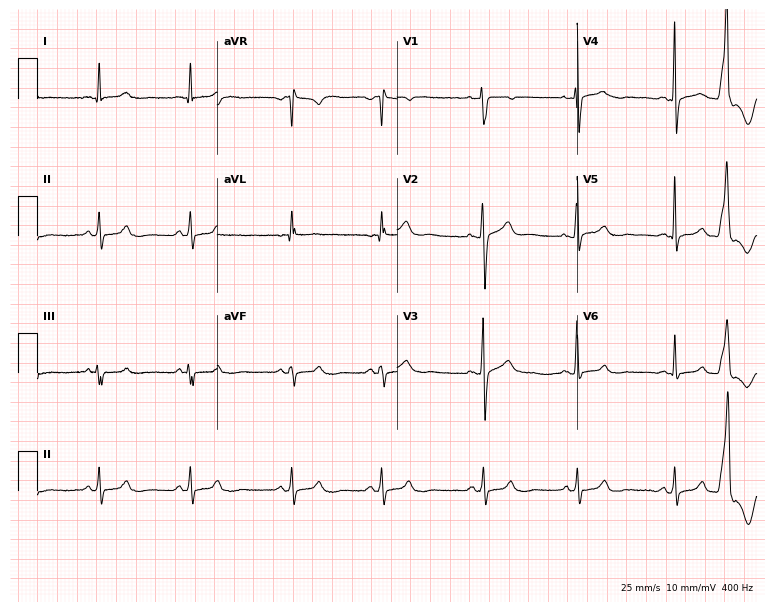
12-lead ECG (7.3-second recording at 400 Hz) from a 35-year-old female. Labelled as a normal ECG.